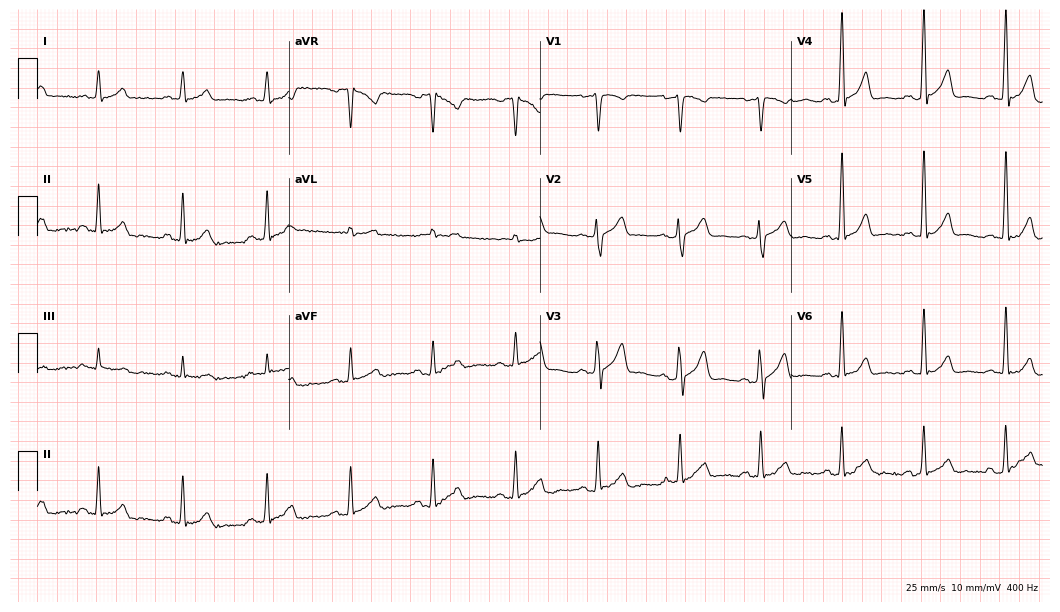
Standard 12-lead ECG recorded from a 46-year-old male (10.2-second recording at 400 Hz). Read as a normal ECG.